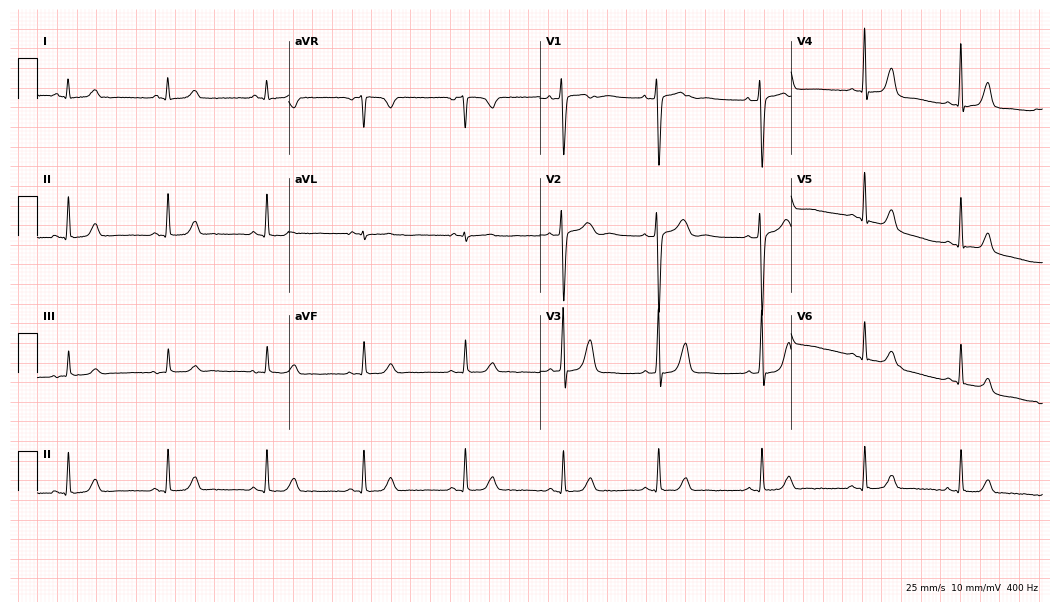
Electrocardiogram (10.2-second recording at 400 Hz), a female, 29 years old. Of the six screened findings (first-degree AV block, right bundle branch block, left bundle branch block, sinus bradycardia, atrial fibrillation, sinus tachycardia), none is recorded. Only these six findings were labelled.